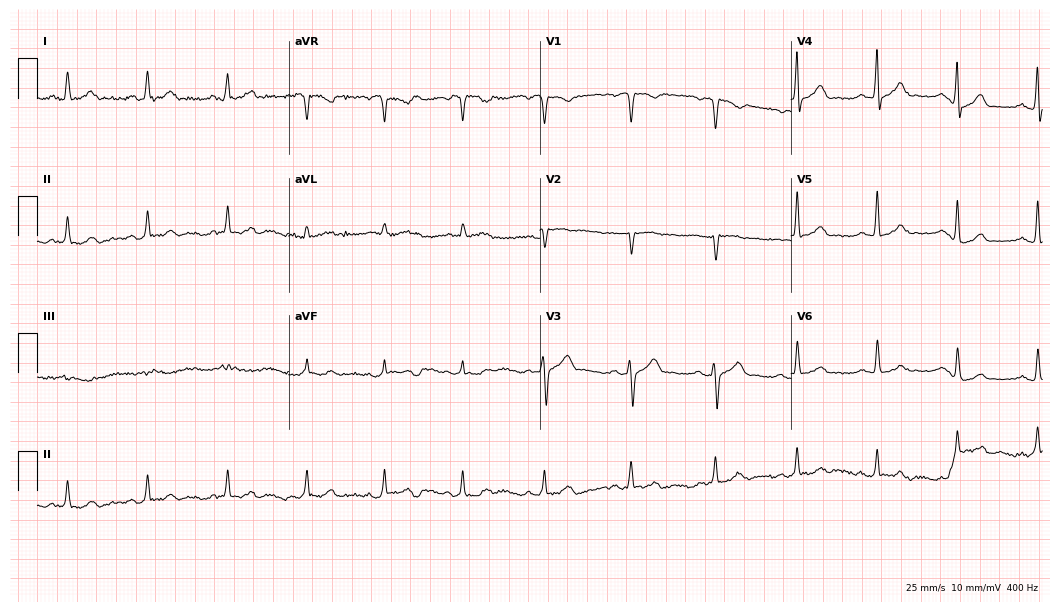
12-lead ECG from a male patient, 41 years old. Screened for six findings — first-degree AV block, right bundle branch block, left bundle branch block, sinus bradycardia, atrial fibrillation, sinus tachycardia — none is recorded.